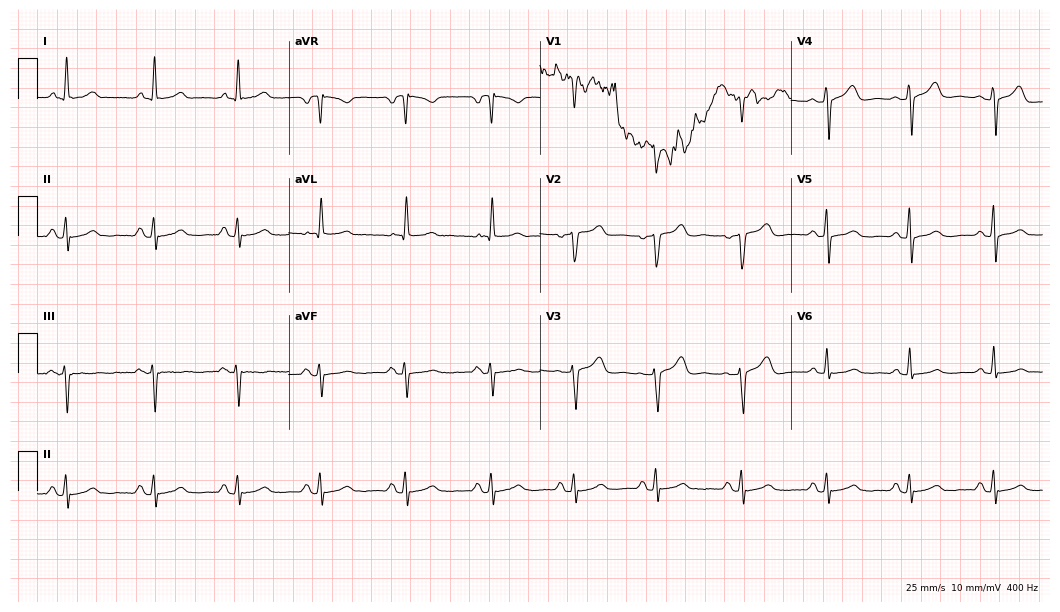
Standard 12-lead ECG recorded from a 56-year-old female. Read as a normal ECG.